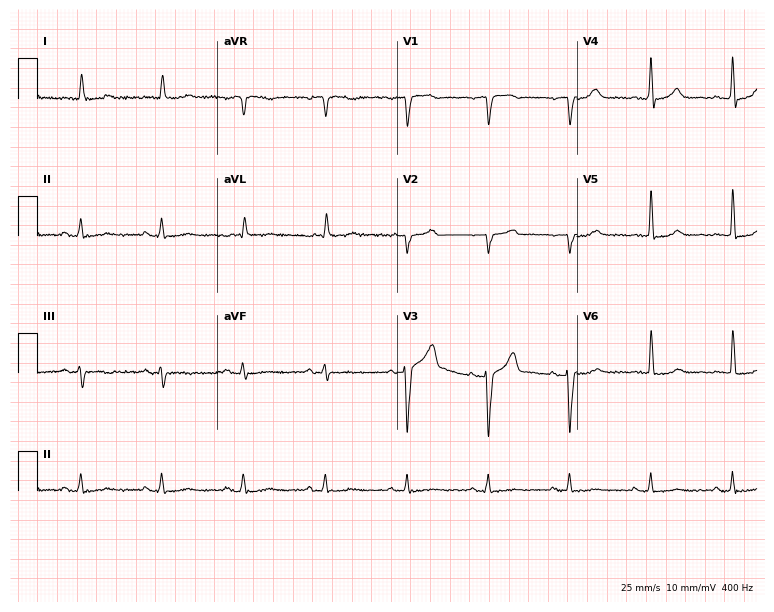
ECG (7.3-second recording at 400 Hz) — an 86-year-old man. Screened for six findings — first-degree AV block, right bundle branch block (RBBB), left bundle branch block (LBBB), sinus bradycardia, atrial fibrillation (AF), sinus tachycardia — none is recorded.